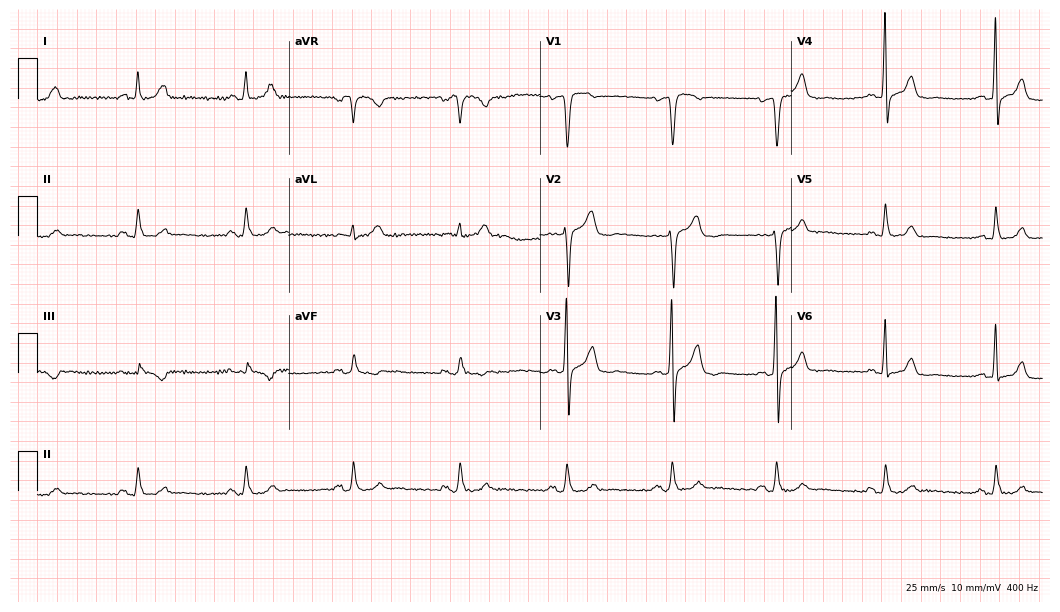
Standard 12-lead ECG recorded from a 60-year-old man (10.2-second recording at 400 Hz). None of these six findings is recorded: first-degree AV block, right bundle branch block, left bundle branch block, sinus bradycardia, atrial fibrillation, sinus tachycardia. Only these six findings were labelled.